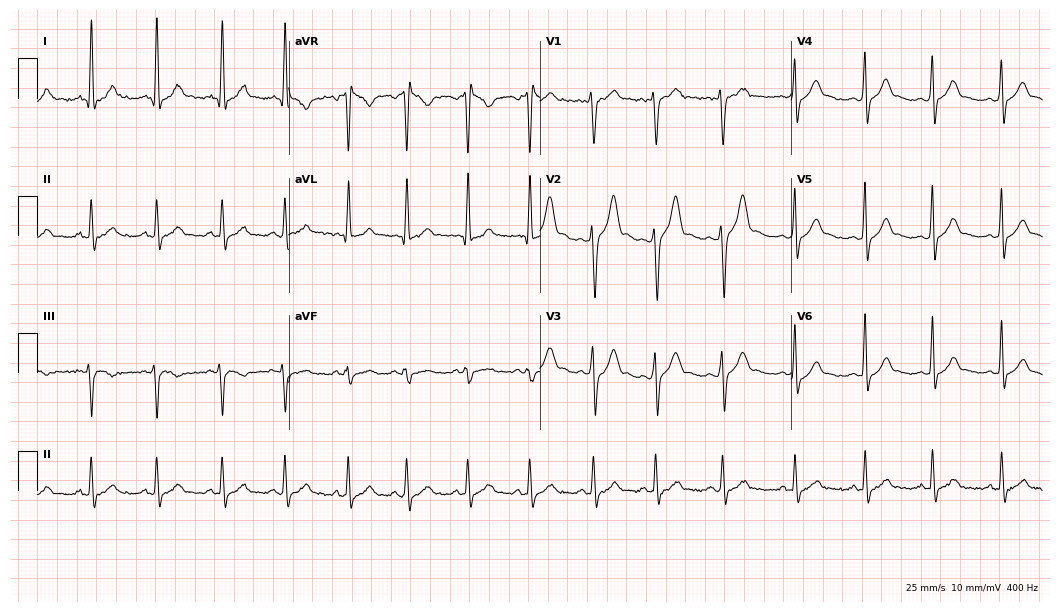
Standard 12-lead ECG recorded from a male patient, 24 years old. None of these six findings is recorded: first-degree AV block, right bundle branch block, left bundle branch block, sinus bradycardia, atrial fibrillation, sinus tachycardia. Findings outside these six are not listed.